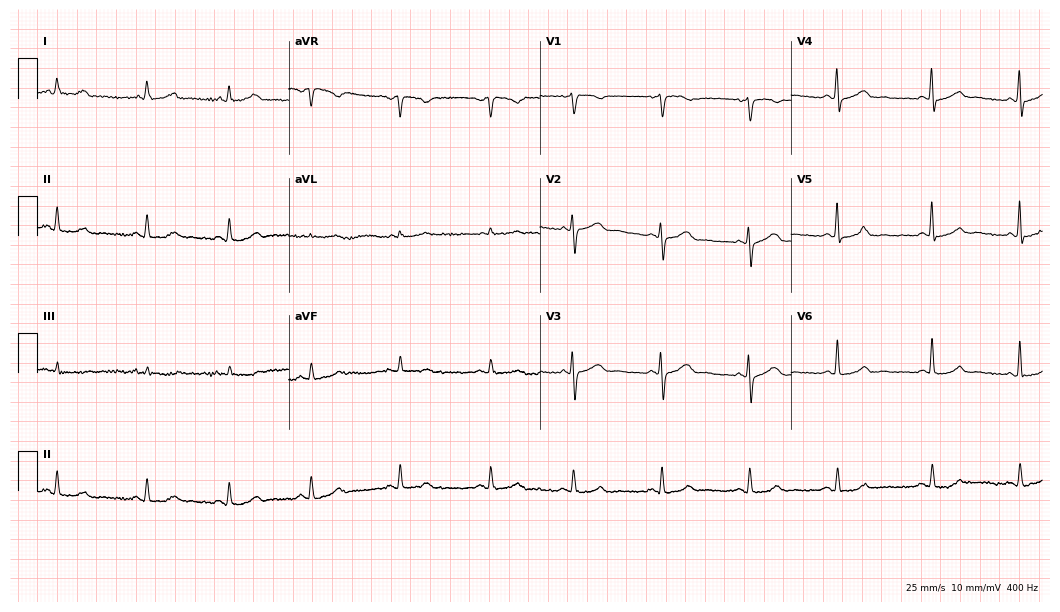
12-lead ECG (10.2-second recording at 400 Hz) from a female, 48 years old. Labelled as a normal ECG.